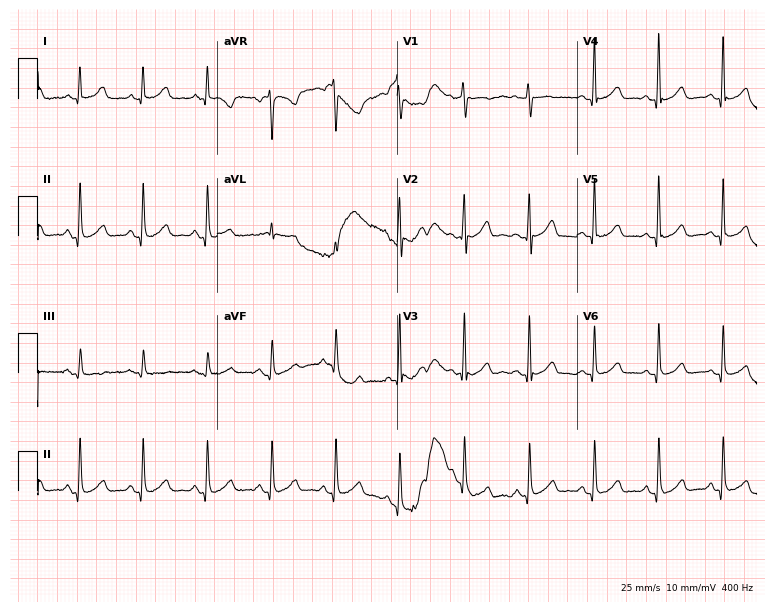
Resting 12-lead electrocardiogram (7.3-second recording at 400 Hz). Patient: a female, 72 years old. Read as a normal ECG.